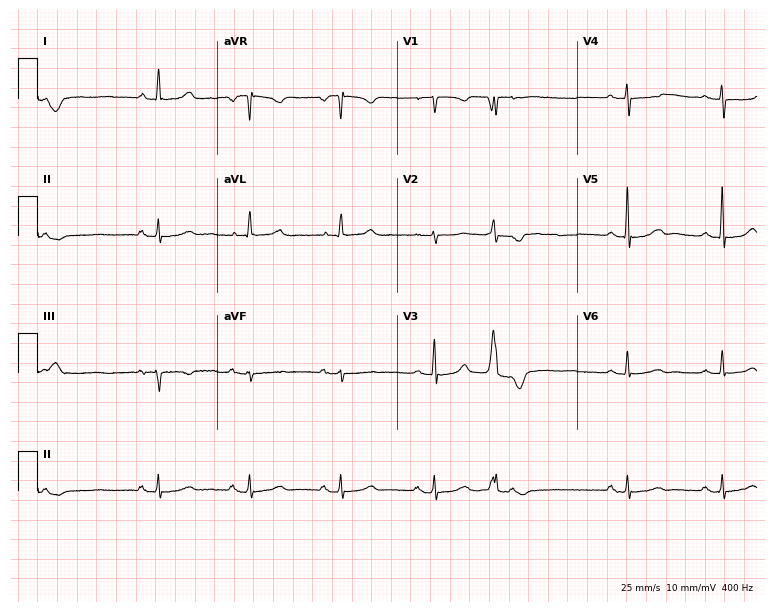
ECG (7.3-second recording at 400 Hz) — a woman, 79 years old. Labelled as a normal ECG.